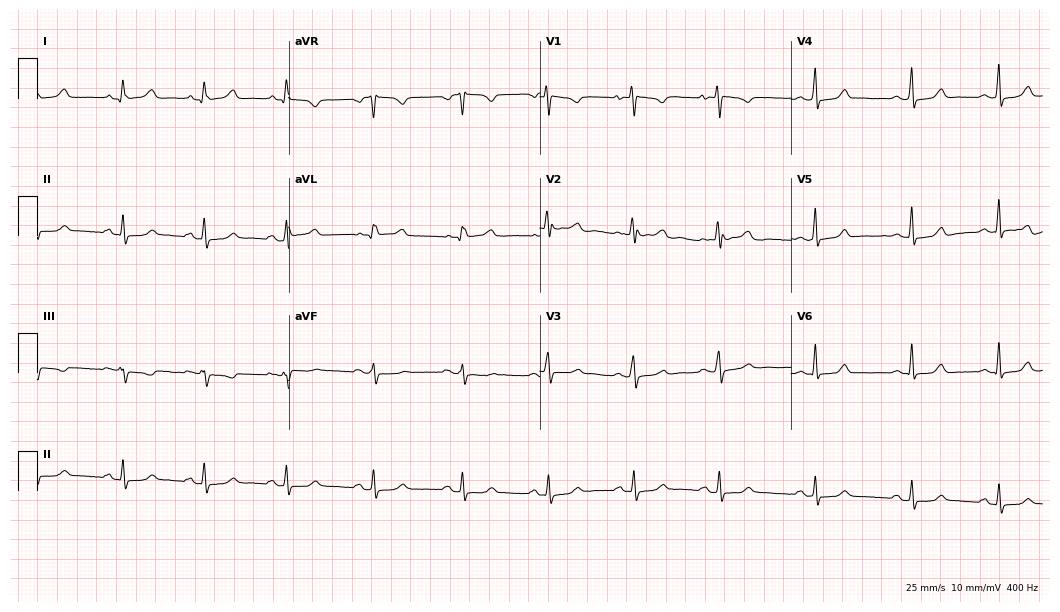
ECG — a 33-year-old female. Labelled as a normal ECG.